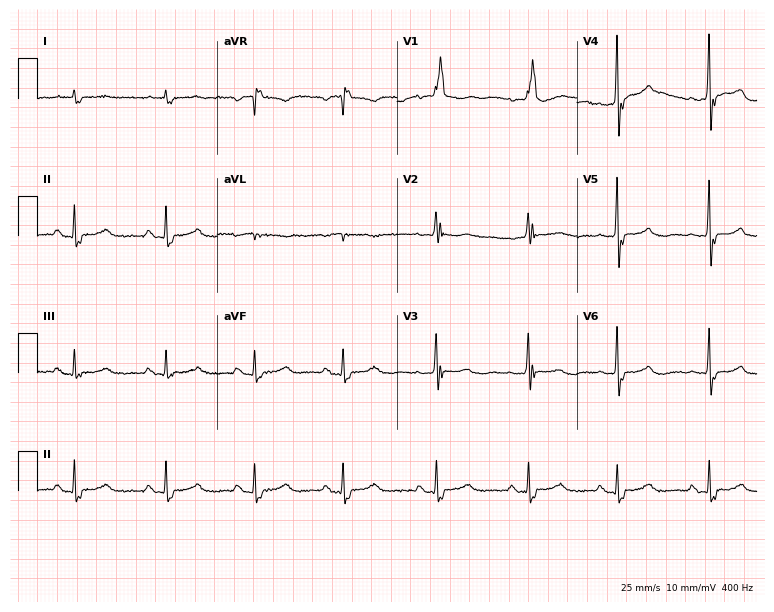
Standard 12-lead ECG recorded from an 84-year-old male patient. The tracing shows right bundle branch block (RBBB).